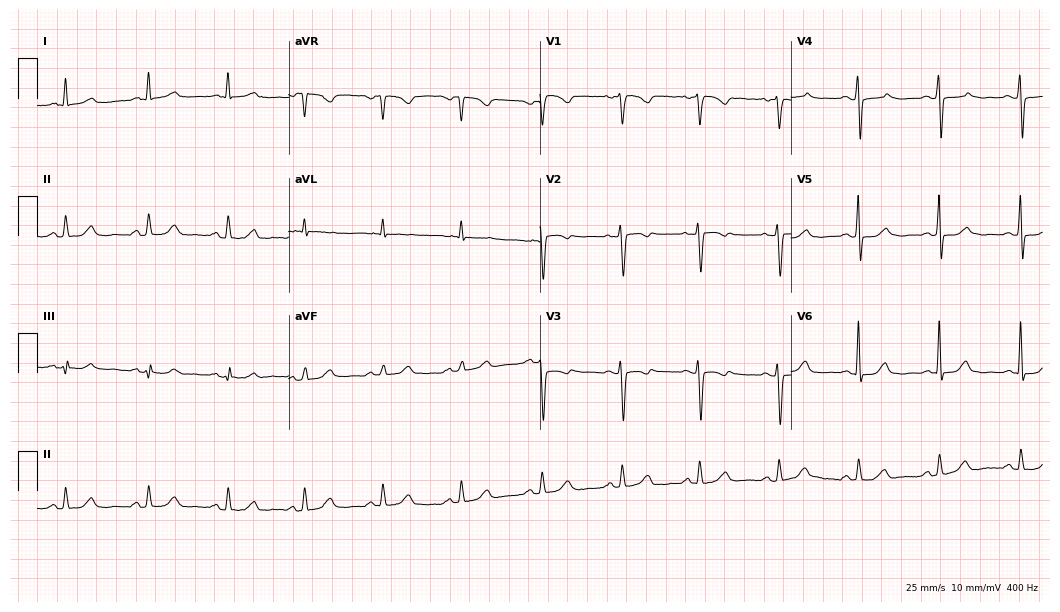
12-lead ECG from a woman, 61 years old. Screened for six findings — first-degree AV block, right bundle branch block, left bundle branch block, sinus bradycardia, atrial fibrillation, sinus tachycardia — none is recorded. Other findings, if any, are not listed.